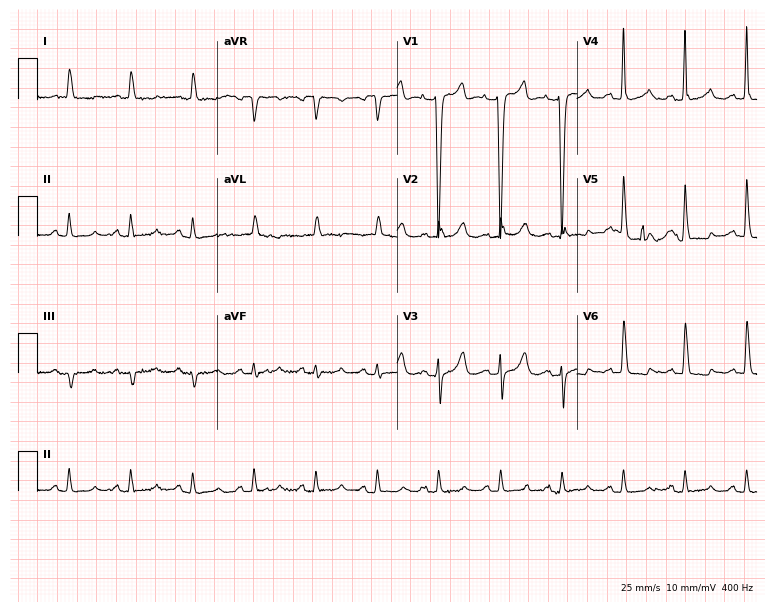
ECG (7.3-second recording at 400 Hz) — a female, 81 years old. Screened for six findings — first-degree AV block, right bundle branch block, left bundle branch block, sinus bradycardia, atrial fibrillation, sinus tachycardia — none is recorded.